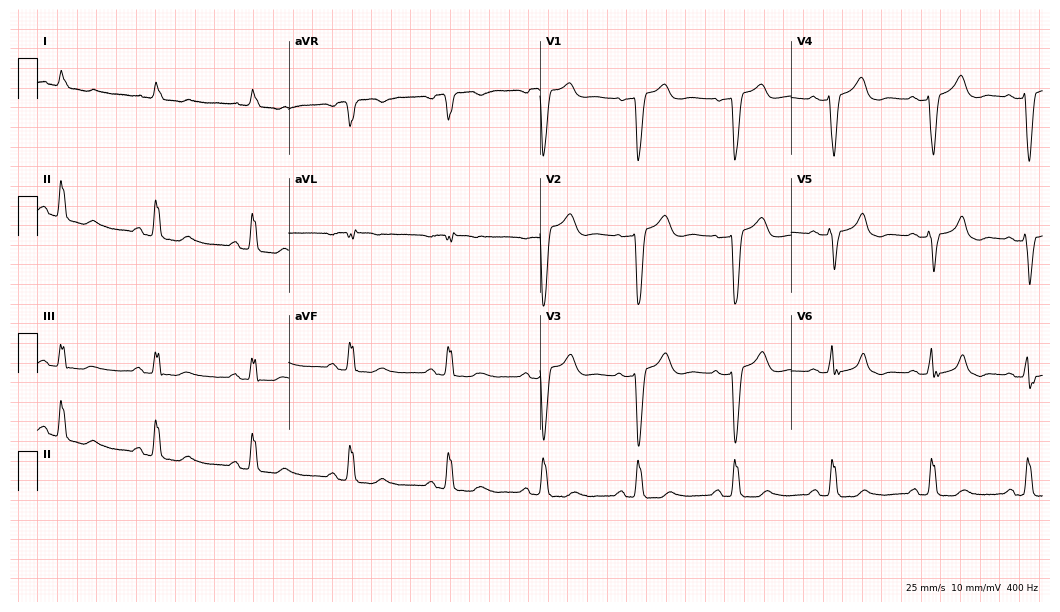
Resting 12-lead electrocardiogram. Patient: an 82-year-old female. The tracing shows left bundle branch block.